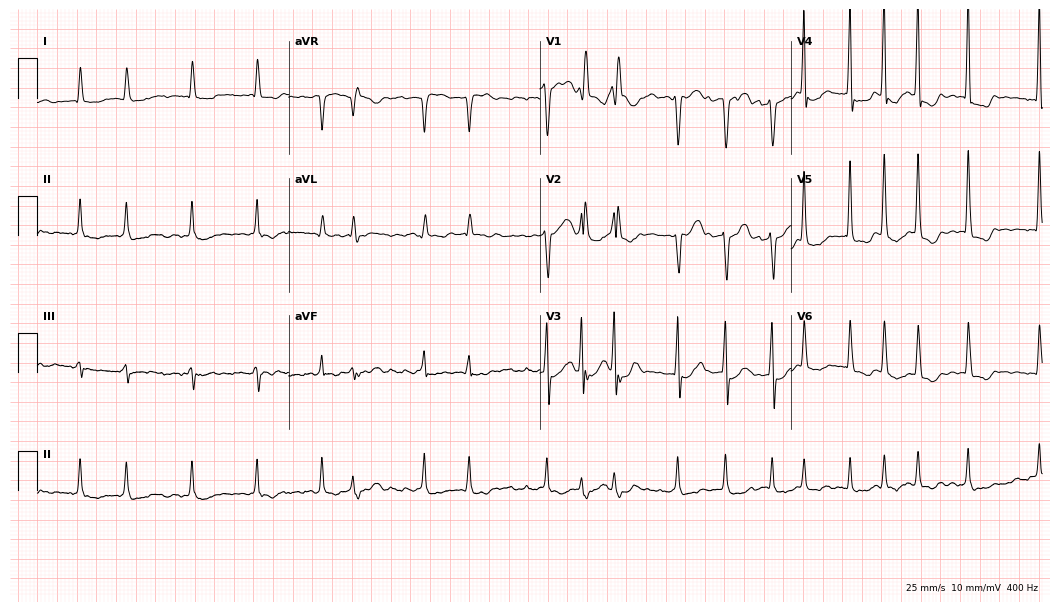
Standard 12-lead ECG recorded from a woman, 74 years old. The tracing shows atrial fibrillation.